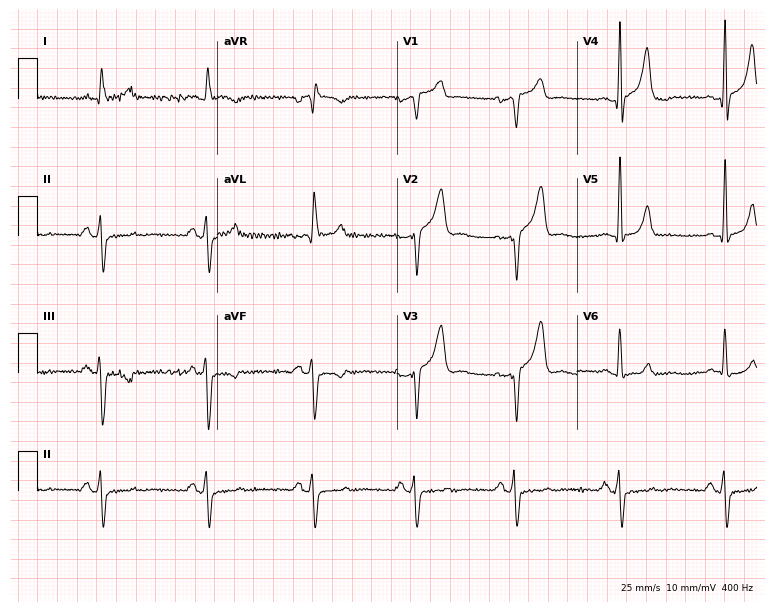
Resting 12-lead electrocardiogram (7.3-second recording at 400 Hz). Patient: a male, 61 years old. None of these six findings is recorded: first-degree AV block, right bundle branch block, left bundle branch block, sinus bradycardia, atrial fibrillation, sinus tachycardia. Other findings, if any, are not listed.